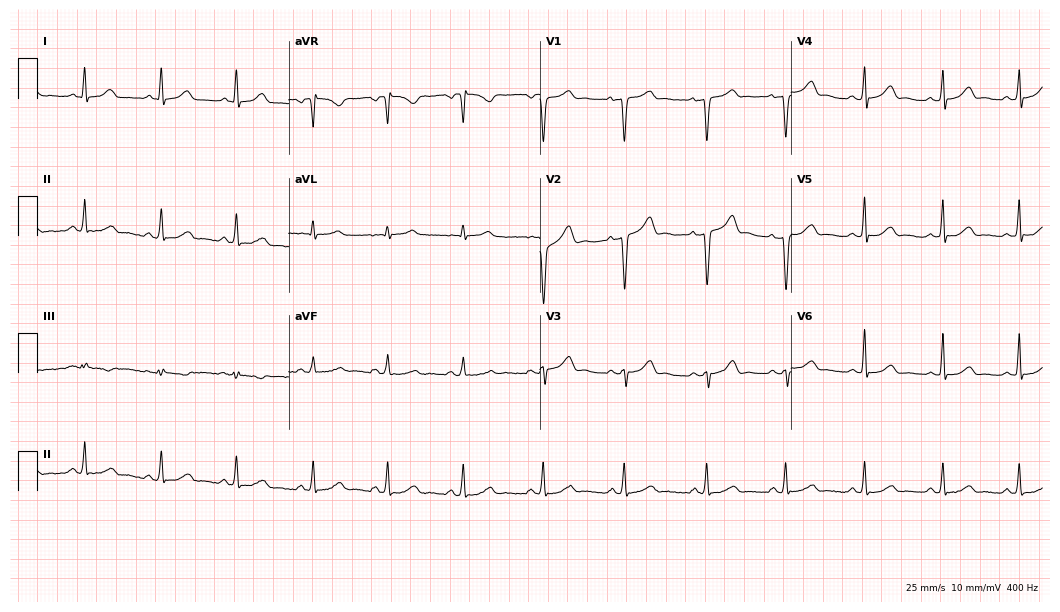
Electrocardiogram, a female, 35 years old. Of the six screened findings (first-degree AV block, right bundle branch block (RBBB), left bundle branch block (LBBB), sinus bradycardia, atrial fibrillation (AF), sinus tachycardia), none is recorded. Only these six findings were labelled.